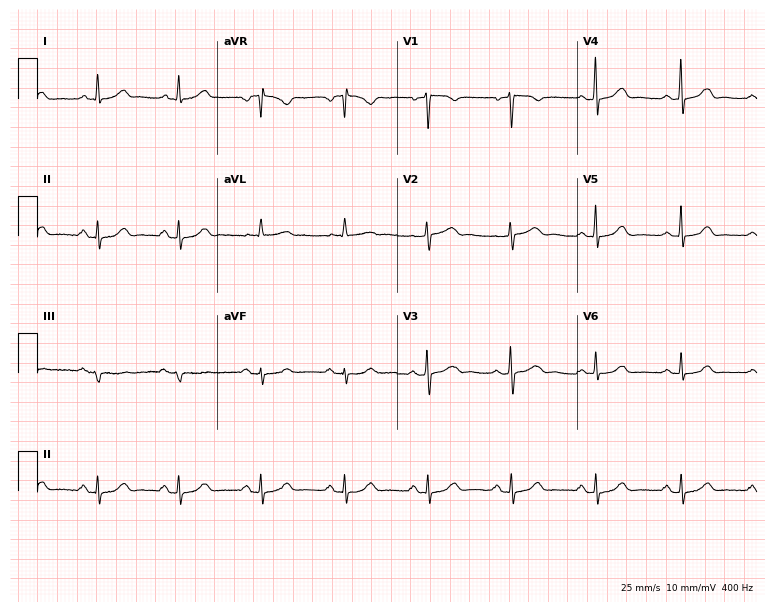
Resting 12-lead electrocardiogram. Patient: a female, 56 years old. Read as a normal ECG.